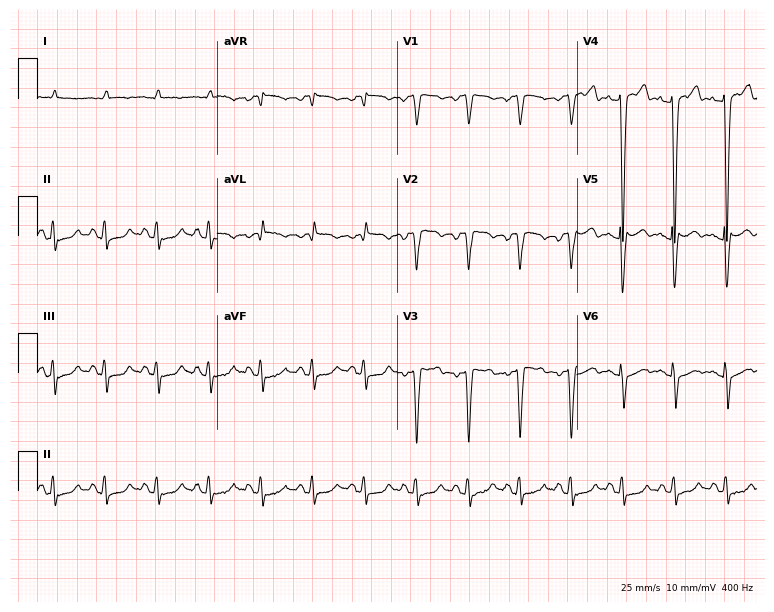
12-lead ECG from a male, 67 years old (7.3-second recording at 400 Hz). Shows sinus tachycardia (a sinus rate of 100 beats per minute or more).